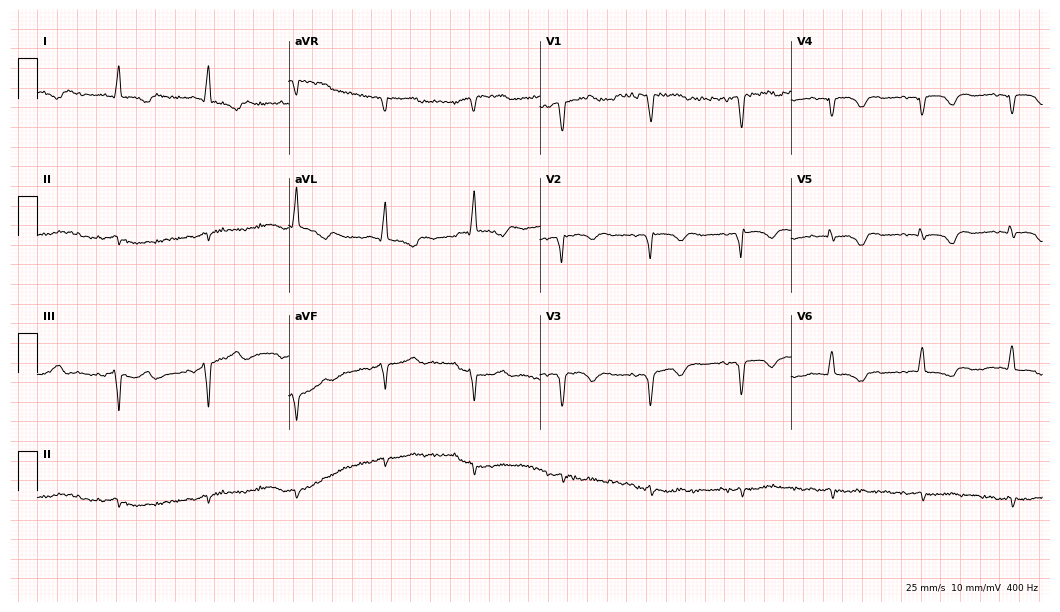
12-lead ECG from a 77-year-old male patient (10.2-second recording at 400 Hz). No first-degree AV block, right bundle branch block, left bundle branch block, sinus bradycardia, atrial fibrillation or sinus tachycardia recorded for this tracing.